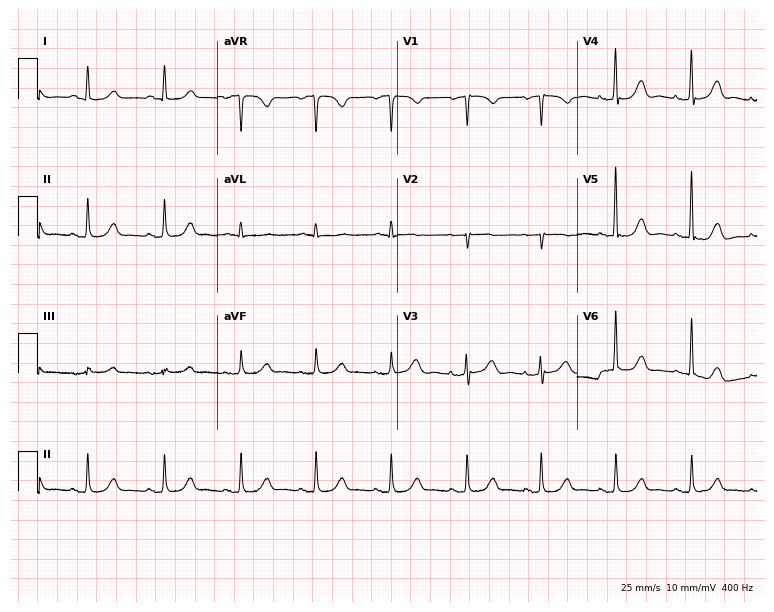
12-lead ECG (7.3-second recording at 400 Hz) from a 75-year-old female patient. Screened for six findings — first-degree AV block, right bundle branch block, left bundle branch block, sinus bradycardia, atrial fibrillation, sinus tachycardia — none is recorded. Other findings, if any, are not listed.